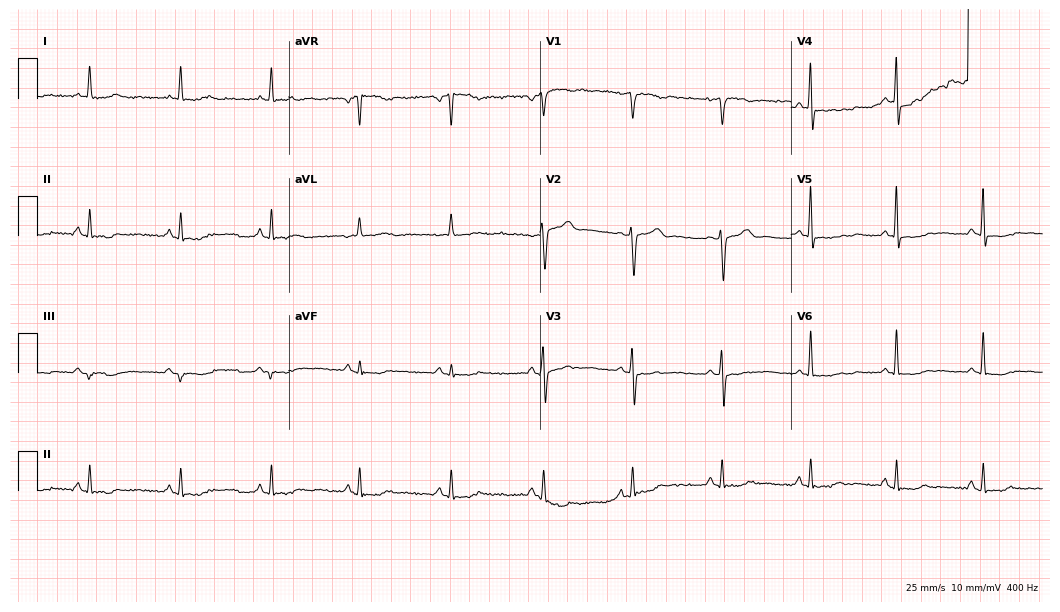
Standard 12-lead ECG recorded from a 57-year-old female (10.2-second recording at 400 Hz). None of these six findings is recorded: first-degree AV block, right bundle branch block, left bundle branch block, sinus bradycardia, atrial fibrillation, sinus tachycardia.